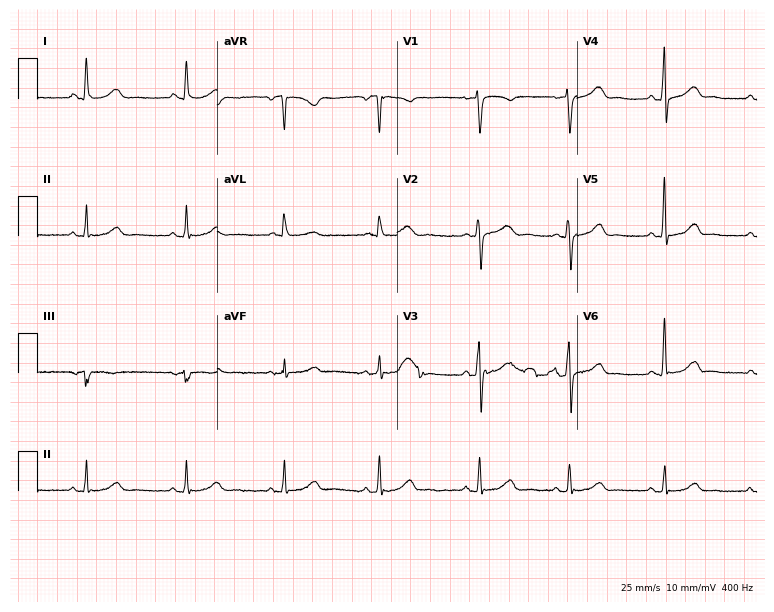
12-lead ECG (7.3-second recording at 400 Hz) from a woman, 73 years old. Labelled as a normal ECG.